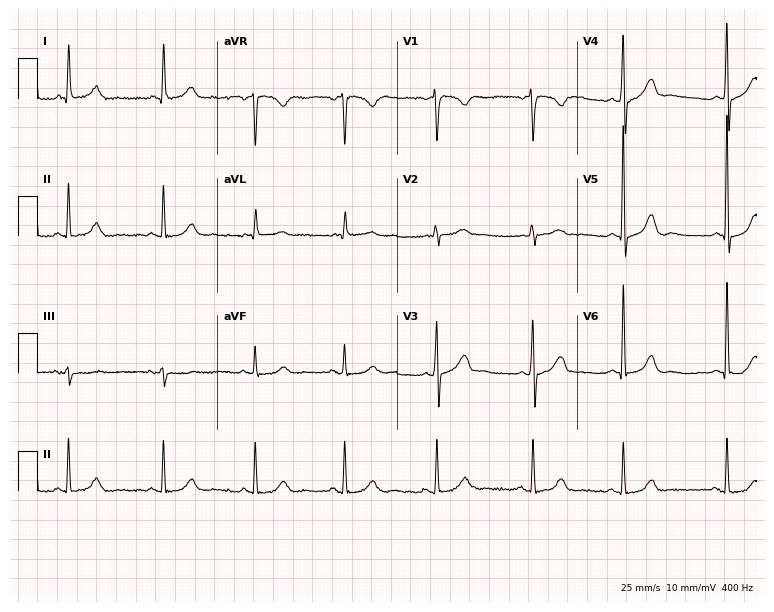
12-lead ECG from a female patient, 66 years old. Labelled as a normal ECG.